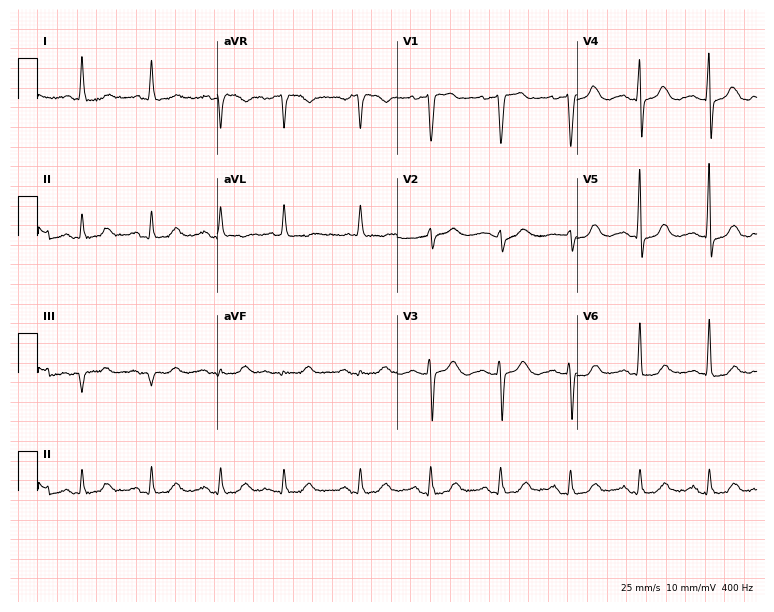
ECG — a woman, 77 years old. Labelled as a normal ECG.